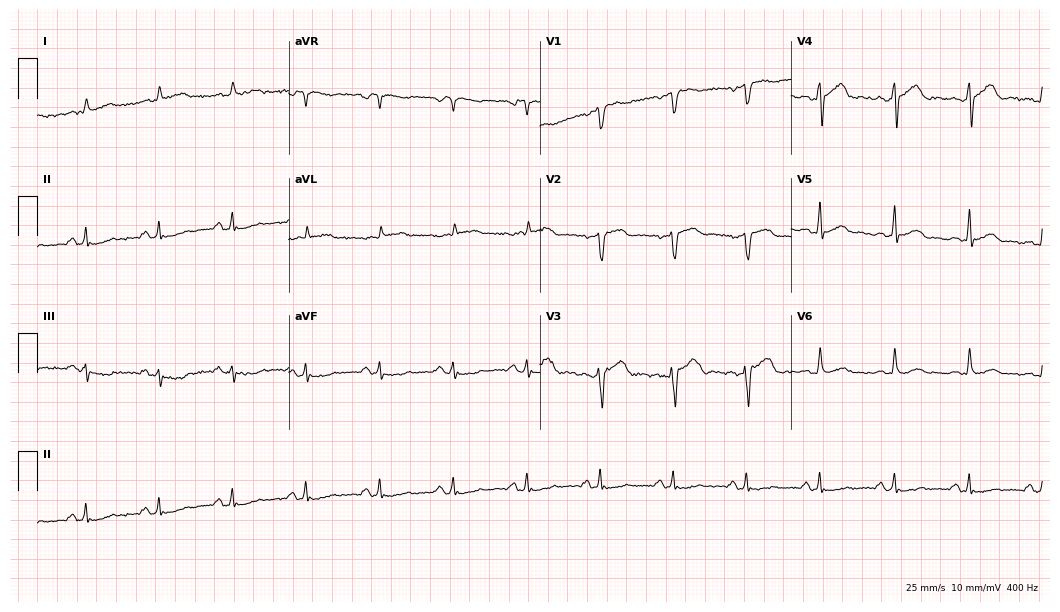
Standard 12-lead ECG recorded from a 58-year-old male patient (10.2-second recording at 400 Hz). None of these six findings is recorded: first-degree AV block, right bundle branch block, left bundle branch block, sinus bradycardia, atrial fibrillation, sinus tachycardia.